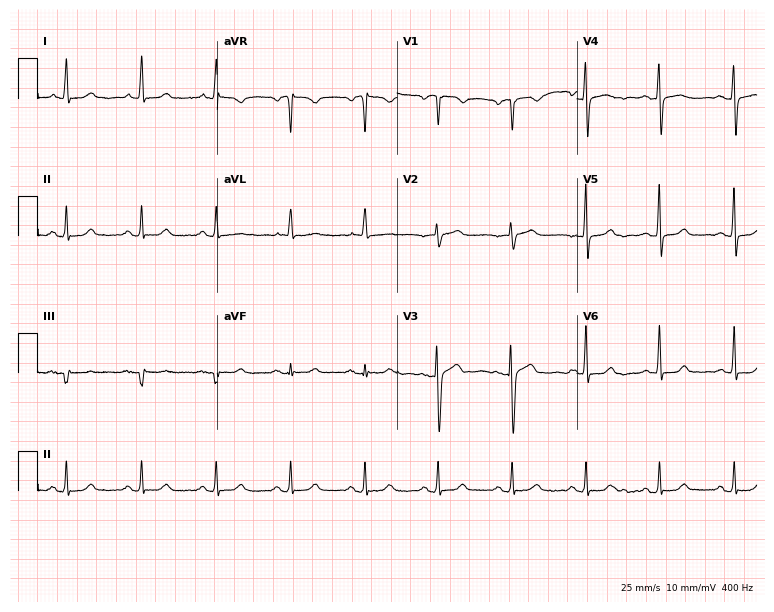
12-lead ECG from a 72-year-old female (7.3-second recording at 400 Hz). Recorded interpretation: within normal limits.